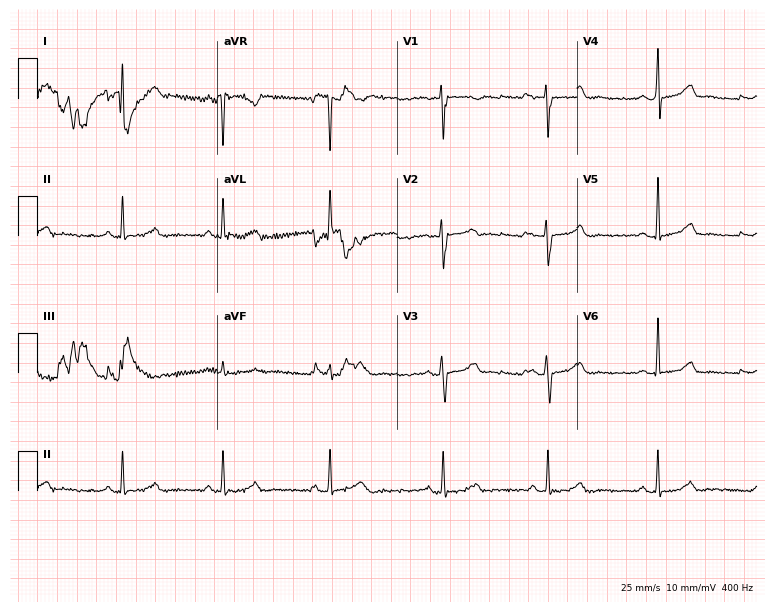
Electrocardiogram, a 43-year-old female. Overall reading on record: normal ECG.